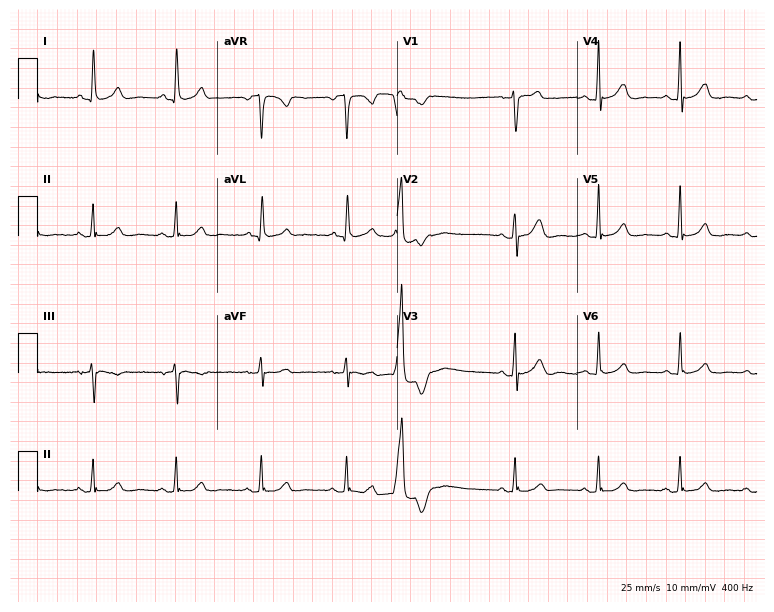
Resting 12-lead electrocardiogram. Patient: a woman, 53 years old. None of these six findings is recorded: first-degree AV block, right bundle branch block, left bundle branch block, sinus bradycardia, atrial fibrillation, sinus tachycardia. Only these six findings were labelled.